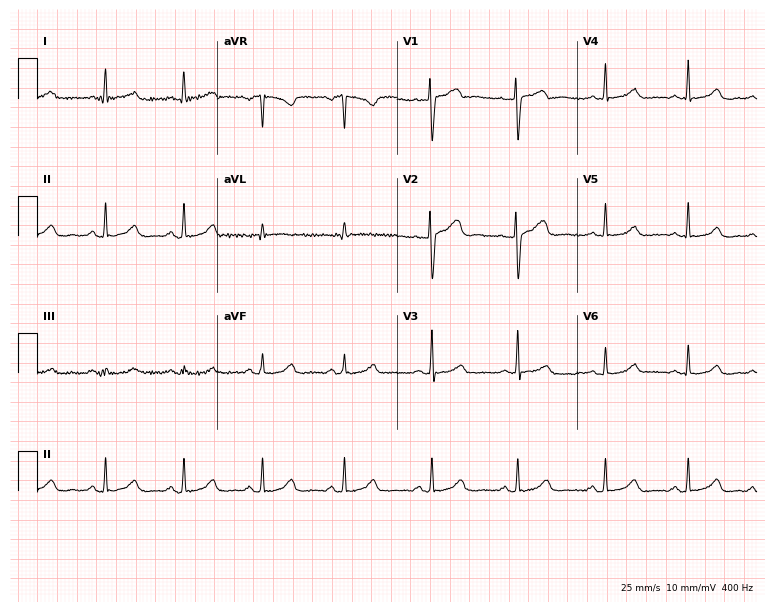
Resting 12-lead electrocardiogram (7.3-second recording at 400 Hz). Patient: a woman, 37 years old. Read as a normal ECG.